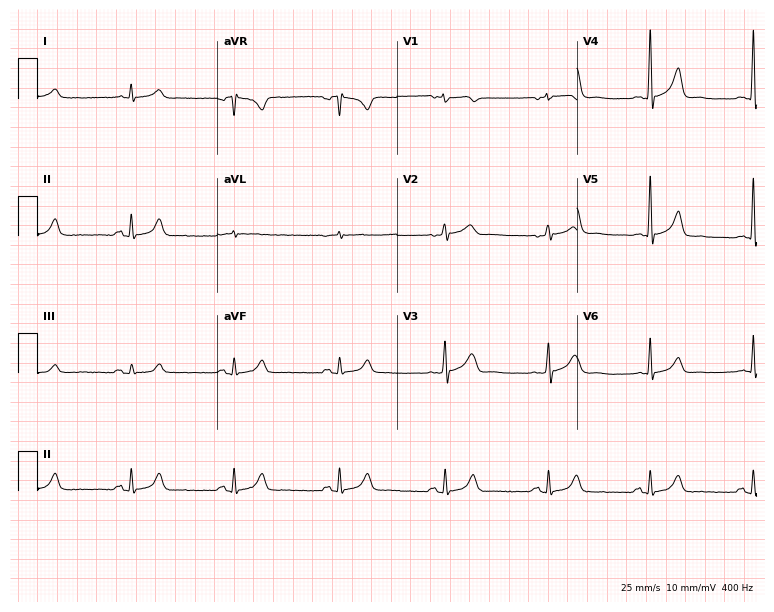
12-lead ECG from a 60-year-old male patient (7.3-second recording at 400 Hz). No first-degree AV block, right bundle branch block, left bundle branch block, sinus bradycardia, atrial fibrillation or sinus tachycardia recorded for this tracing. Findings outside these six are not listed.